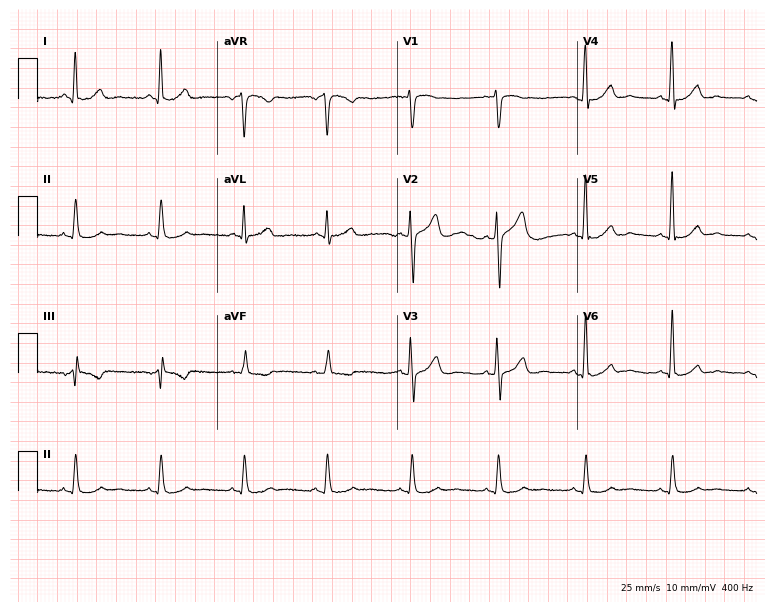
12-lead ECG from a 55-year-old male patient (7.3-second recording at 400 Hz). No first-degree AV block, right bundle branch block, left bundle branch block, sinus bradycardia, atrial fibrillation or sinus tachycardia recorded for this tracing.